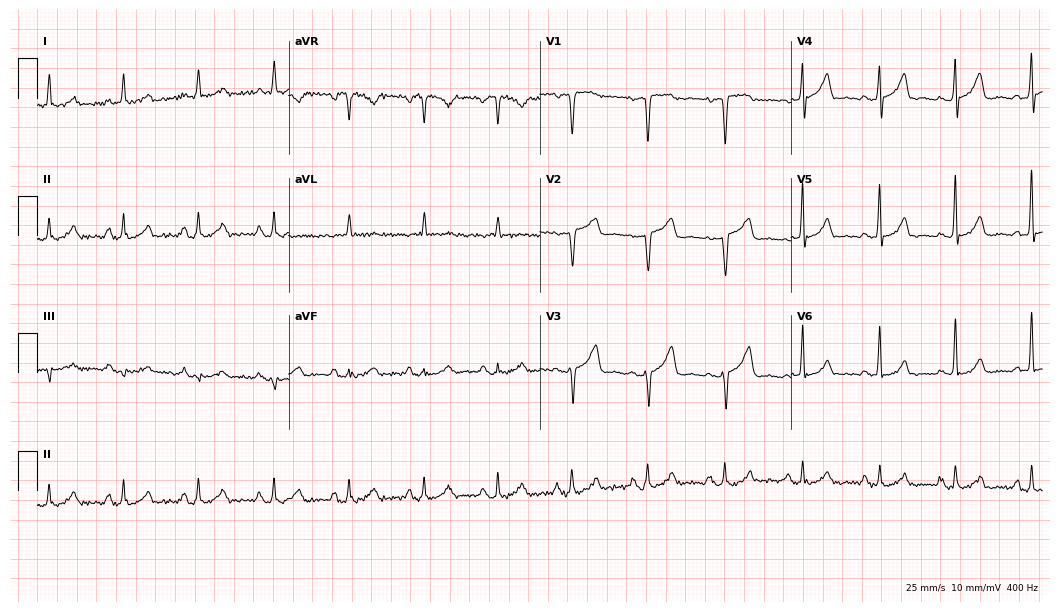
Electrocardiogram (10.2-second recording at 400 Hz), a 53-year-old female. Of the six screened findings (first-degree AV block, right bundle branch block (RBBB), left bundle branch block (LBBB), sinus bradycardia, atrial fibrillation (AF), sinus tachycardia), none is recorded. Findings outside these six are not listed.